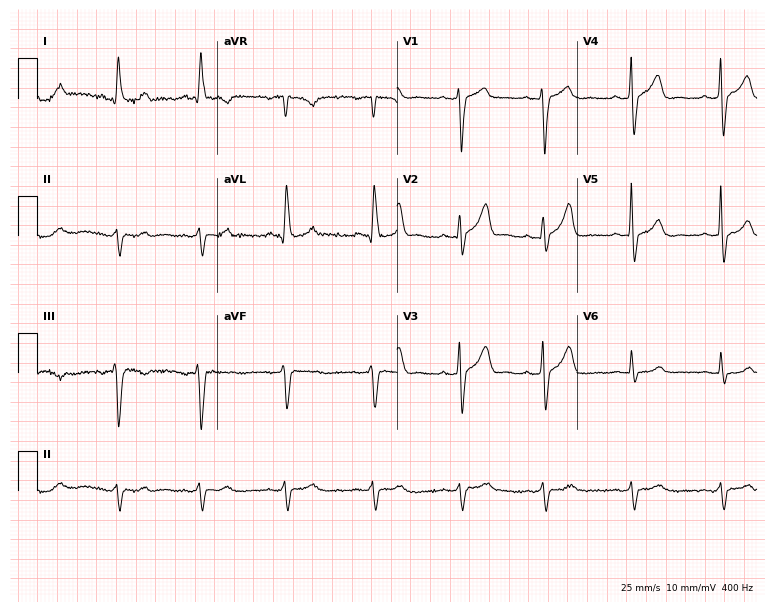
Resting 12-lead electrocardiogram (7.3-second recording at 400 Hz). Patient: a man, 82 years old. None of these six findings is recorded: first-degree AV block, right bundle branch block, left bundle branch block, sinus bradycardia, atrial fibrillation, sinus tachycardia. Findings outside these six are not listed.